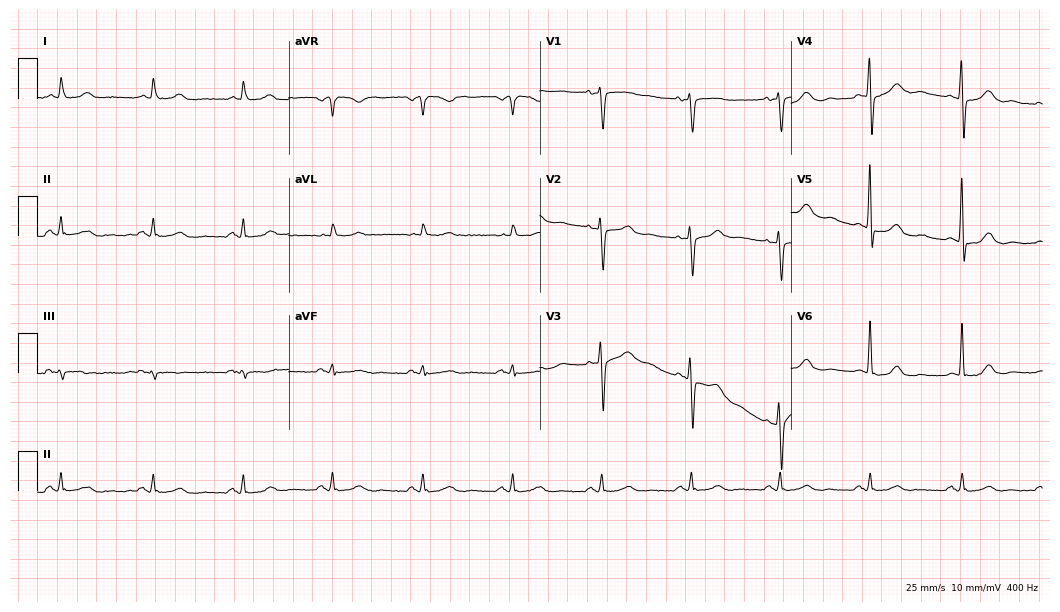
Electrocardiogram, a male patient, 71 years old. Overall reading on record: normal ECG.